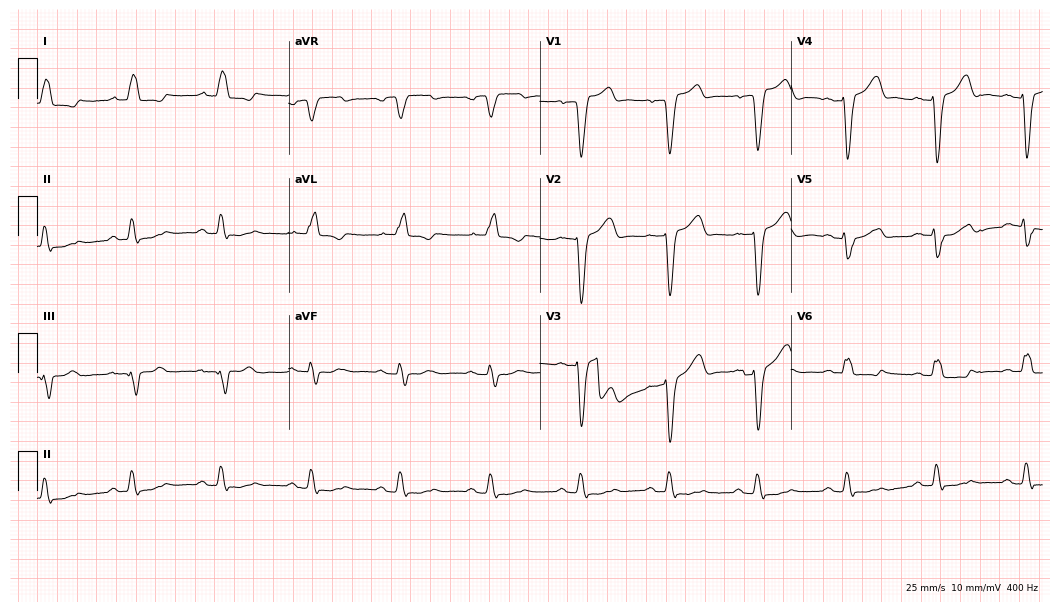
Electrocardiogram (10.2-second recording at 400 Hz), a male, 73 years old. Interpretation includes left bundle branch block (LBBB).